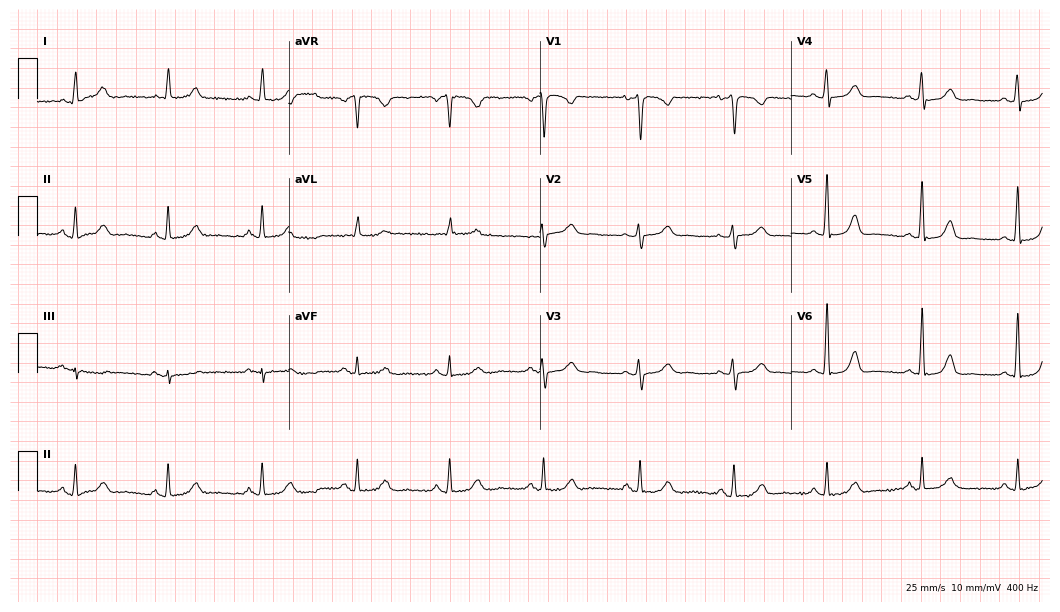
12-lead ECG (10.2-second recording at 400 Hz) from a female, 56 years old. Screened for six findings — first-degree AV block, right bundle branch block, left bundle branch block, sinus bradycardia, atrial fibrillation, sinus tachycardia — none is recorded. Findings outside these six are not listed.